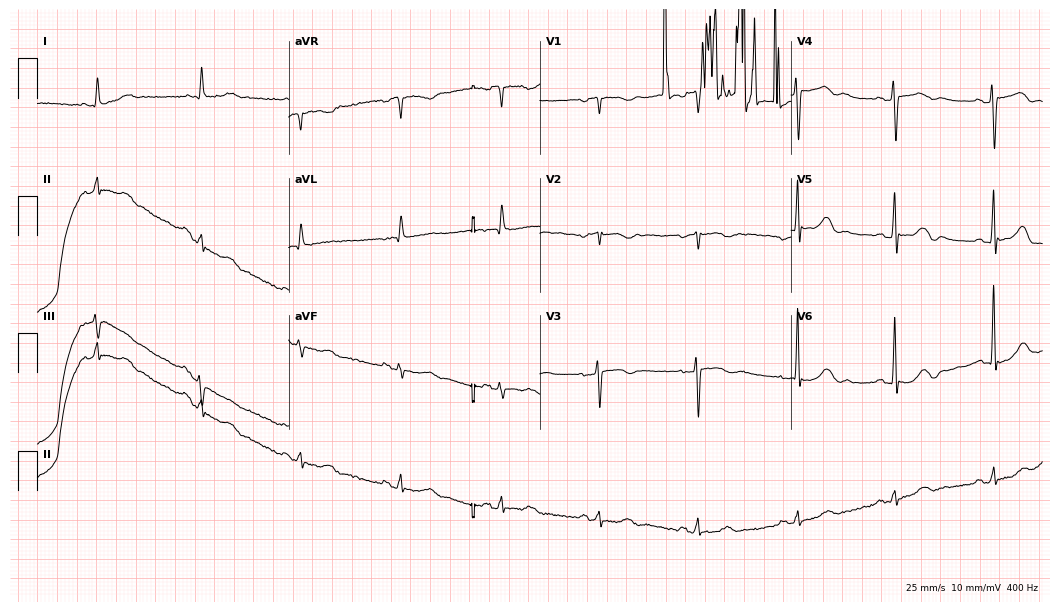
12-lead ECG from a female patient, 77 years old. Screened for six findings — first-degree AV block, right bundle branch block (RBBB), left bundle branch block (LBBB), sinus bradycardia, atrial fibrillation (AF), sinus tachycardia — none is recorded. Only these six findings were labelled.